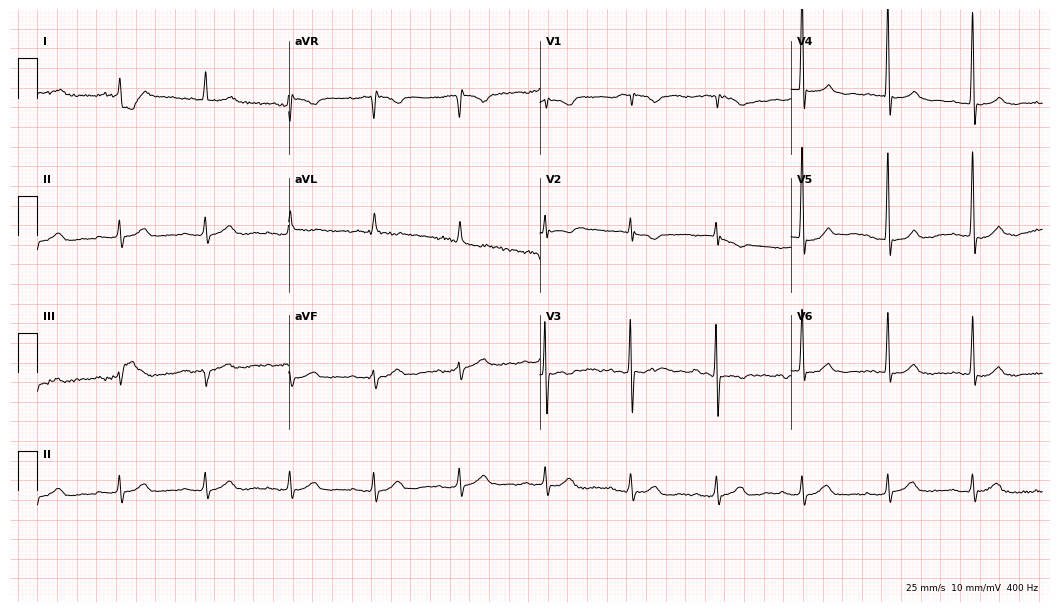
12-lead ECG from a woman, 84 years old (10.2-second recording at 400 Hz). Recorded interpretation: within normal limits.